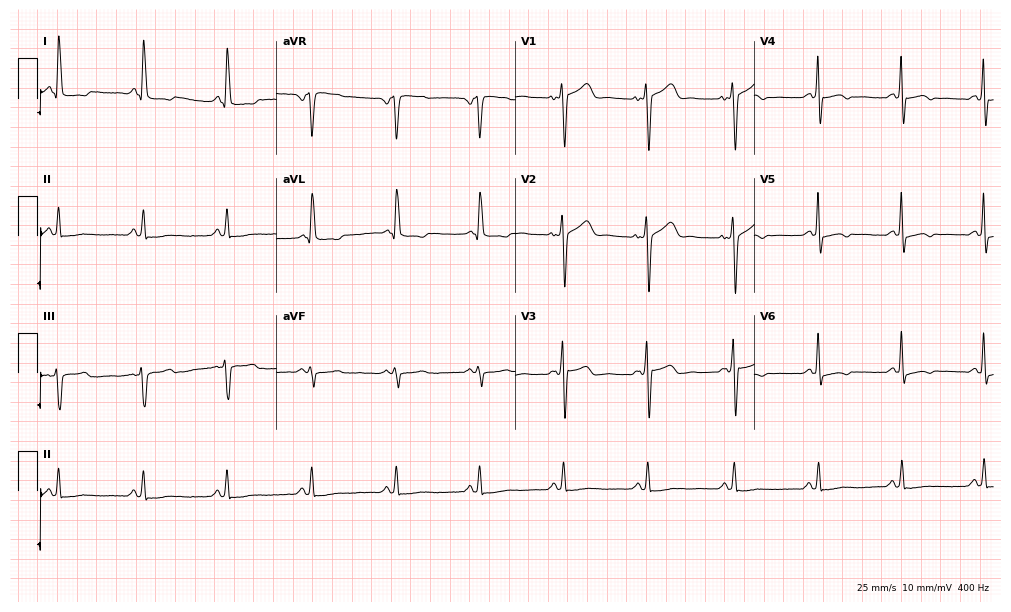
ECG — a 71-year-old female patient. Labelled as a normal ECG.